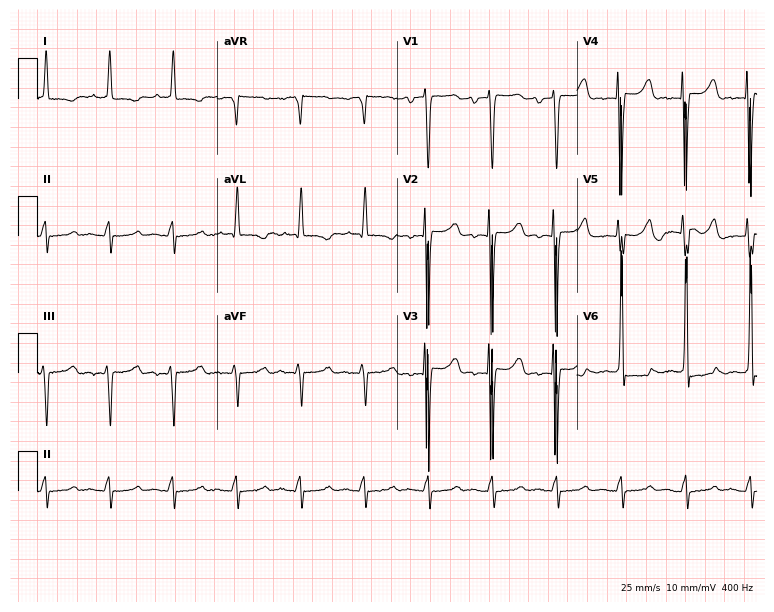
Resting 12-lead electrocardiogram. Patient: a male, 85 years old. The tracing shows first-degree AV block.